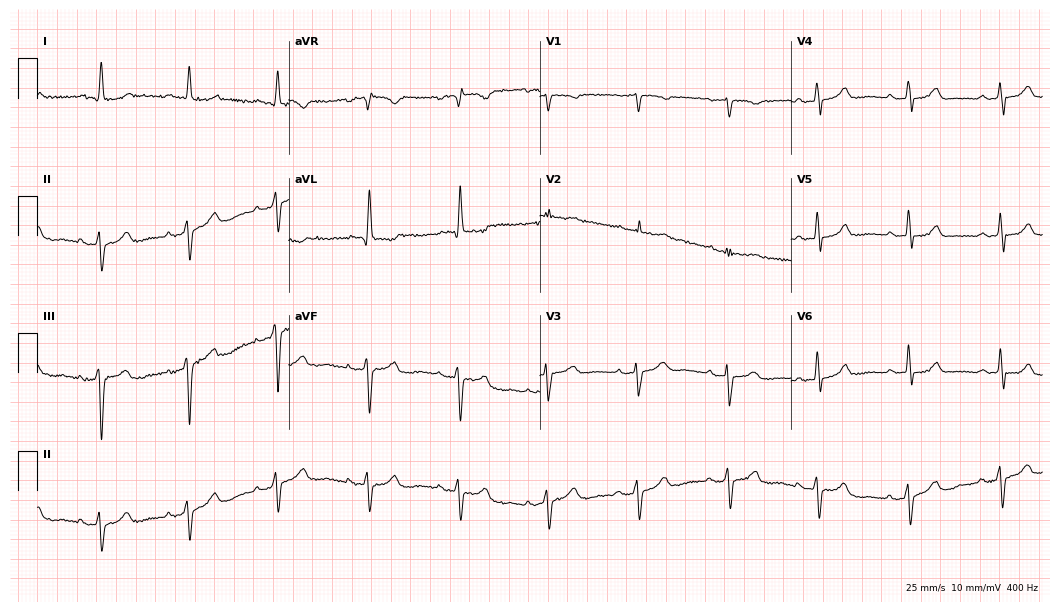
12-lead ECG from an 80-year-old woman. Screened for six findings — first-degree AV block, right bundle branch block (RBBB), left bundle branch block (LBBB), sinus bradycardia, atrial fibrillation (AF), sinus tachycardia — none is recorded.